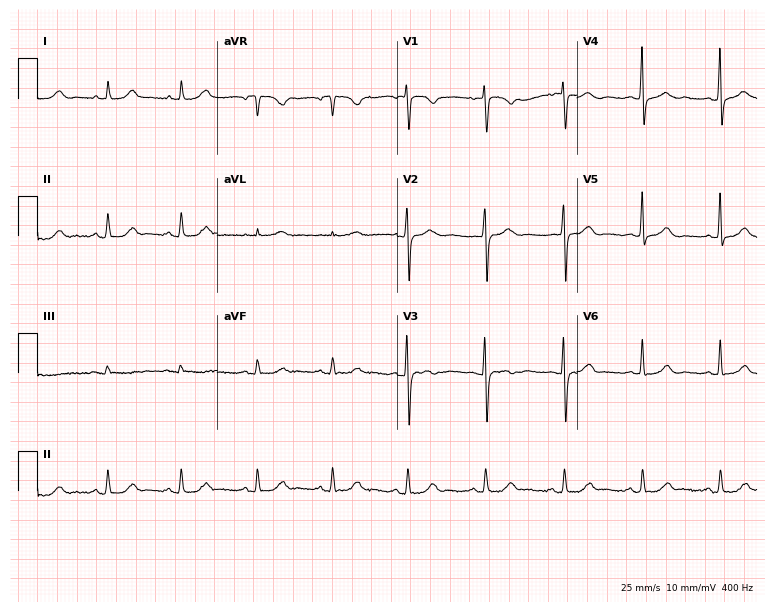
ECG (7.3-second recording at 400 Hz) — a female patient, 70 years old. Screened for six findings — first-degree AV block, right bundle branch block, left bundle branch block, sinus bradycardia, atrial fibrillation, sinus tachycardia — none is recorded.